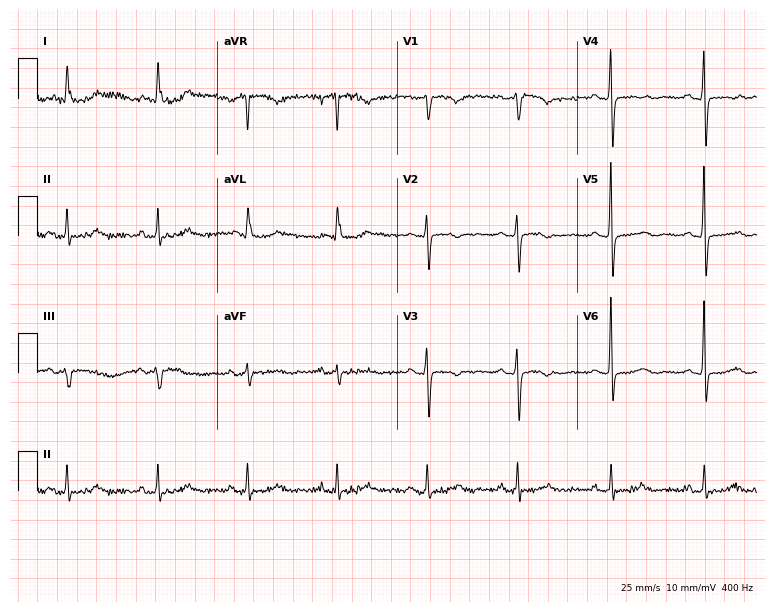
Electrocardiogram (7.3-second recording at 400 Hz), a 65-year-old woman. Of the six screened findings (first-degree AV block, right bundle branch block, left bundle branch block, sinus bradycardia, atrial fibrillation, sinus tachycardia), none is recorded.